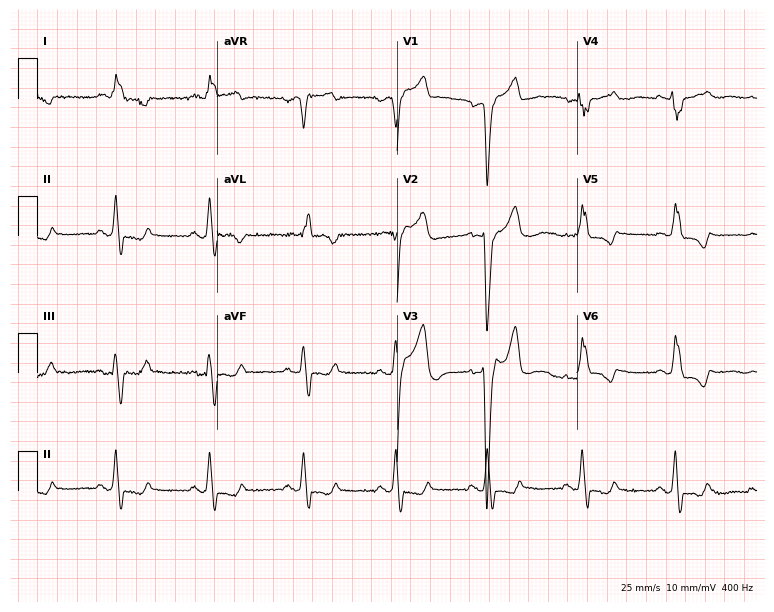
ECG — a woman, 79 years old. Findings include left bundle branch block (LBBB).